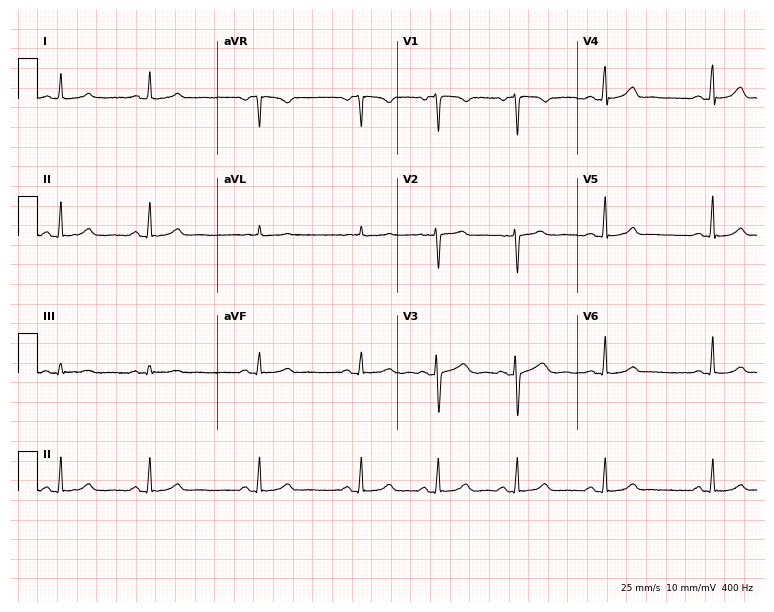
Electrocardiogram (7.3-second recording at 400 Hz), a 27-year-old female. Overall reading on record: normal ECG.